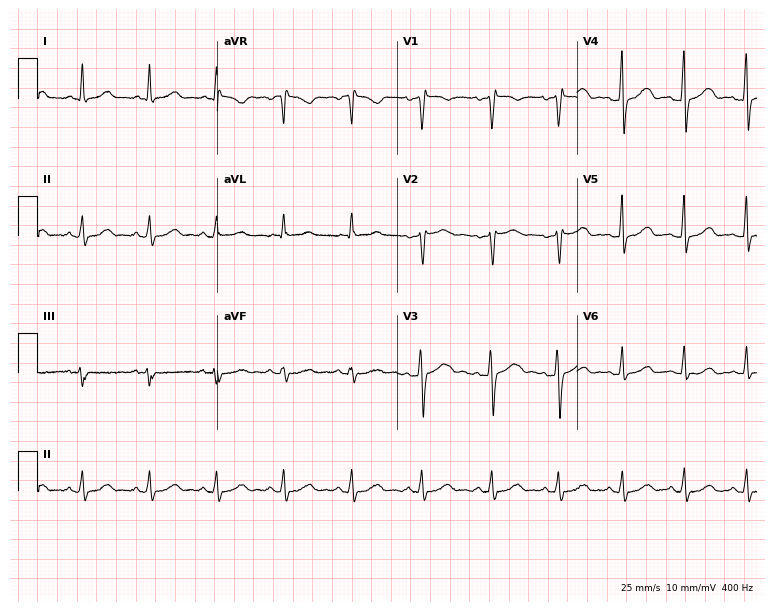
Electrocardiogram (7.3-second recording at 400 Hz), a male patient, 25 years old. Of the six screened findings (first-degree AV block, right bundle branch block, left bundle branch block, sinus bradycardia, atrial fibrillation, sinus tachycardia), none is recorded.